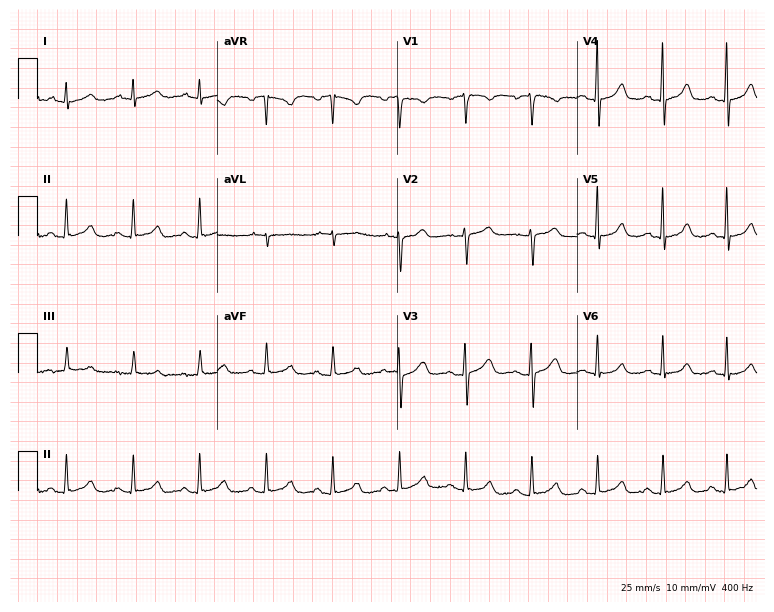
Resting 12-lead electrocardiogram (7.3-second recording at 400 Hz). Patient: a 46-year-old woman. Read as a normal ECG.